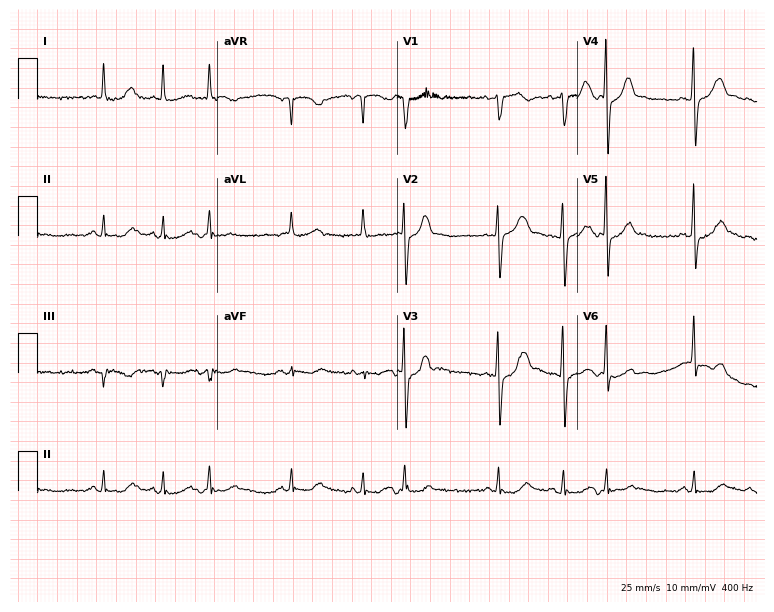
12-lead ECG (7.3-second recording at 400 Hz) from a female patient, 75 years old. Screened for six findings — first-degree AV block, right bundle branch block (RBBB), left bundle branch block (LBBB), sinus bradycardia, atrial fibrillation (AF), sinus tachycardia — none is recorded. Only these six findings were labelled.